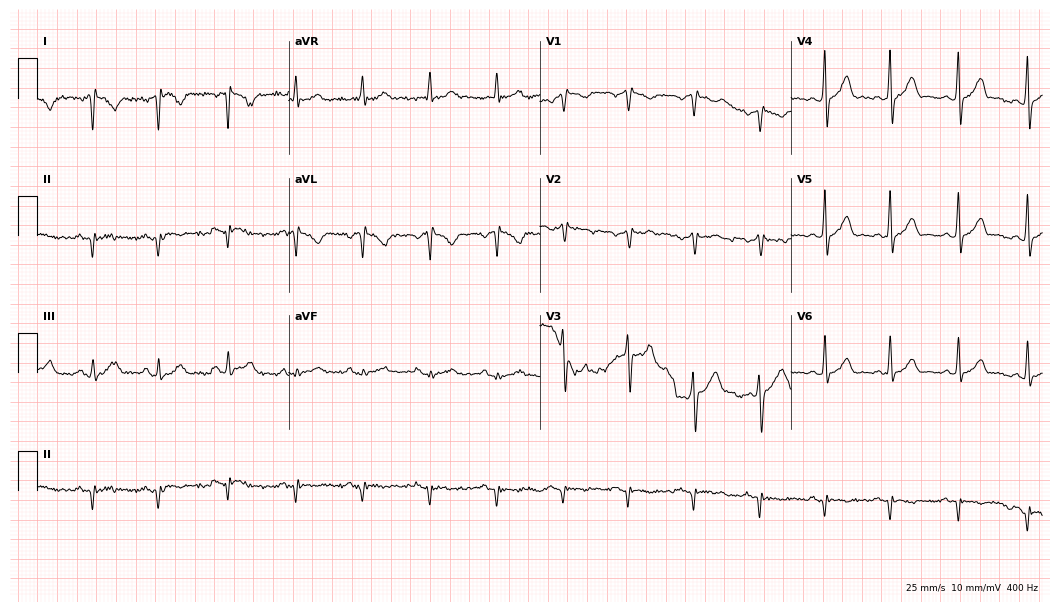
ECG — a 45-year-old male patient. Screened for six findings — first-degree AV block, right bundle branch block (RBBB), left bundle branch block (LBBB), sinus bradycardia, atrial fibrillation (AF), sinus tachycardia — none is recorded.